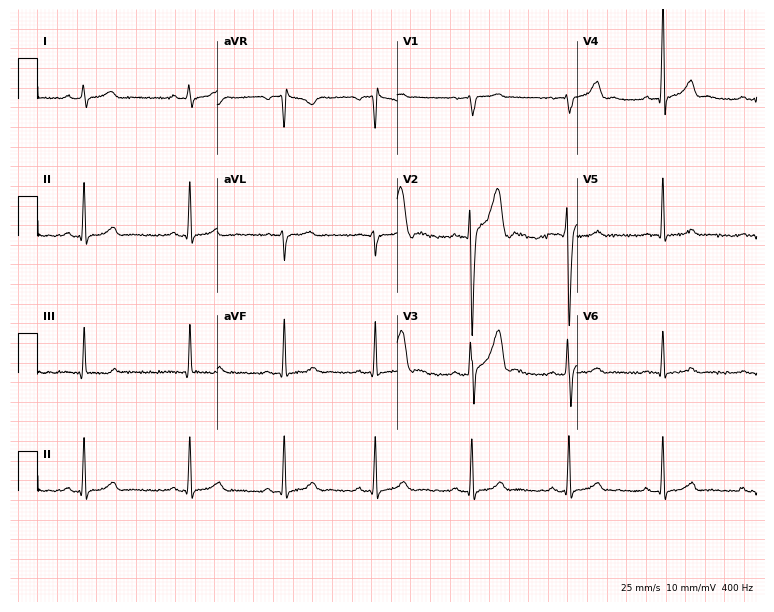
Resting 12-lead electrocardiogram (7.3-second recording at 400 Hz). Patient: a 30-year-old male. Read as a normal ECG.